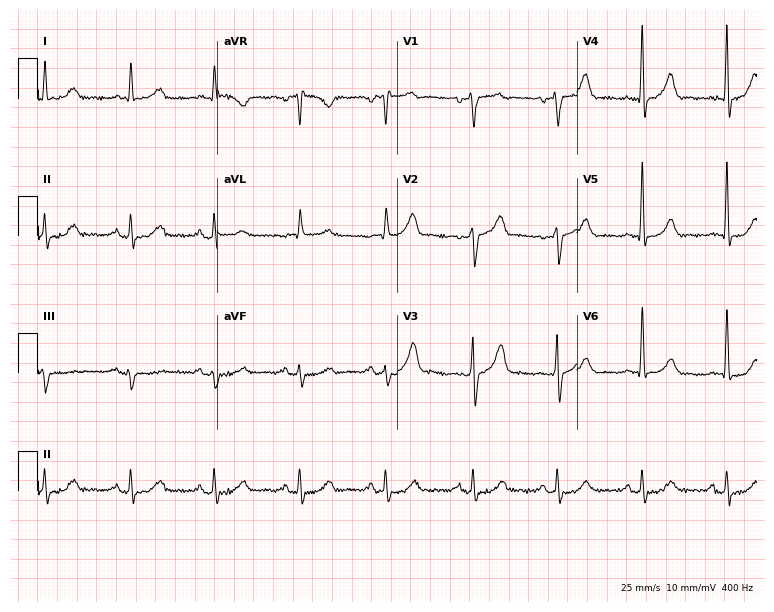
Electrocardiogram (7.3-second recording at 400 Hz), a 74-year-old male. Overall reading on record: normal ECG.